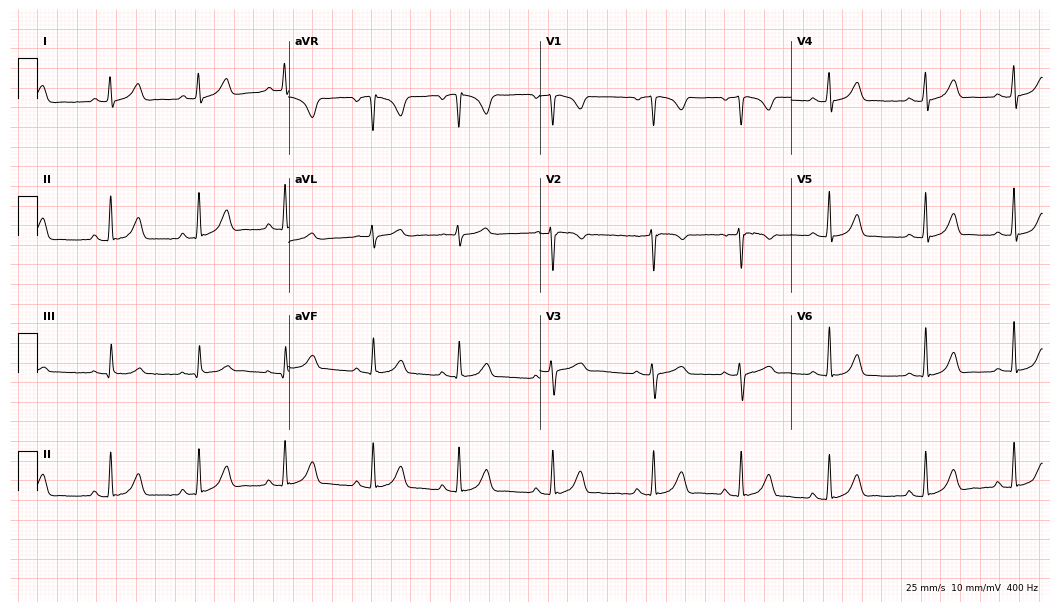
12-lead ECG from a 32-year-old woman (10.2-second recording at 400 Hz). Recorded interpretation: within normal limits.